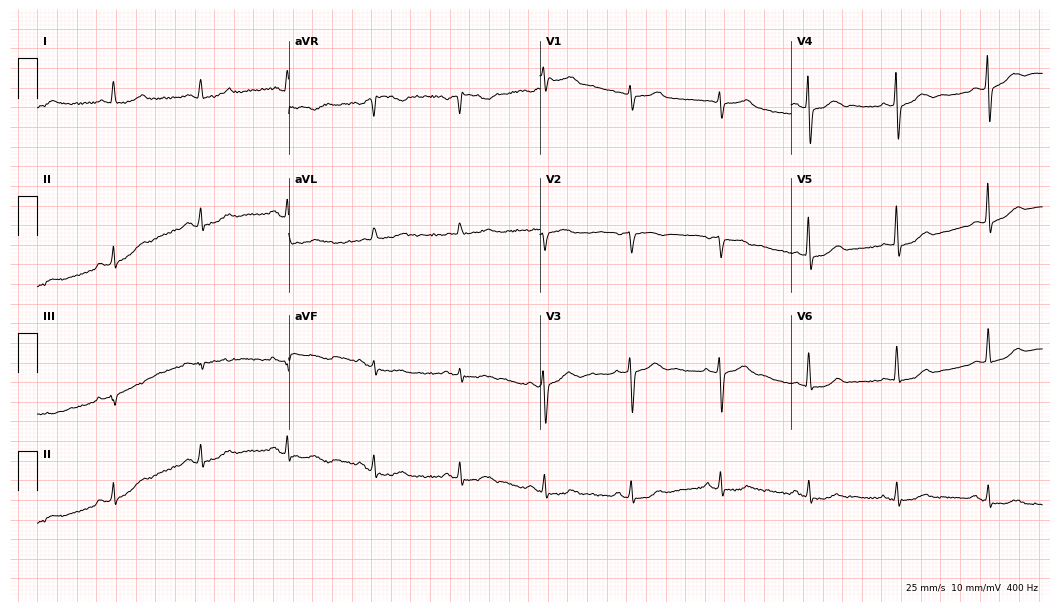
Electrocardiogram (10.2-second recording at 400 Hz), a female, 79 years old. Of the six screened findings (first-degree AV block, right bundle branch block (RBBB), left bundle branch block (LBBB), sinus bradycardia, atrial fibrillation (AF), sinus tachycardia), none is recorded.